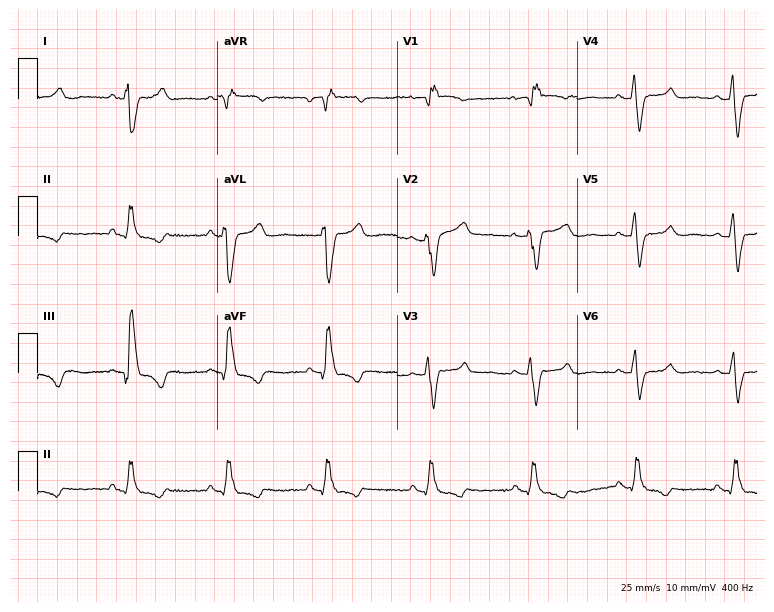
Resting 12-lead electrocardiogram (7.3-second recording at 400 Hz). Patient: a 38-year-old female. The tracing shows right bundle branch block (RBBB).